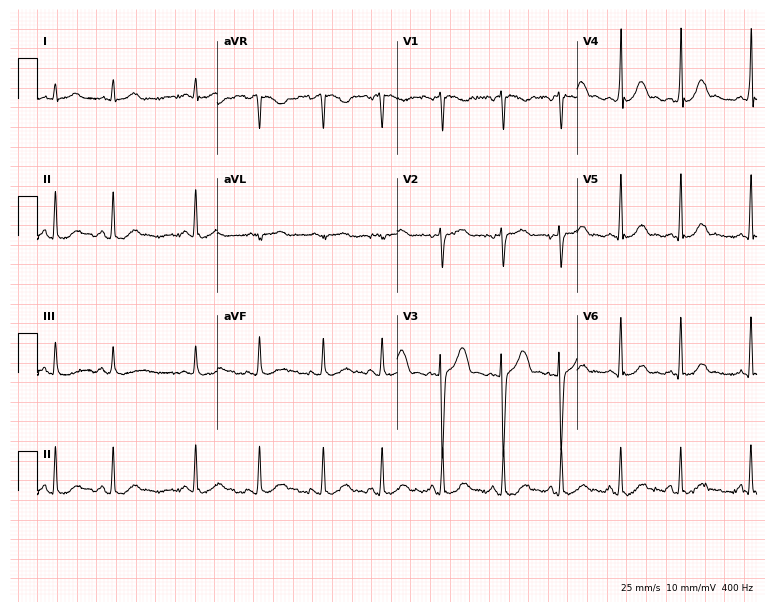
Resting 12-lead electrocardiogram. Patient: a female, 22 years old. Read as a normal ECG.